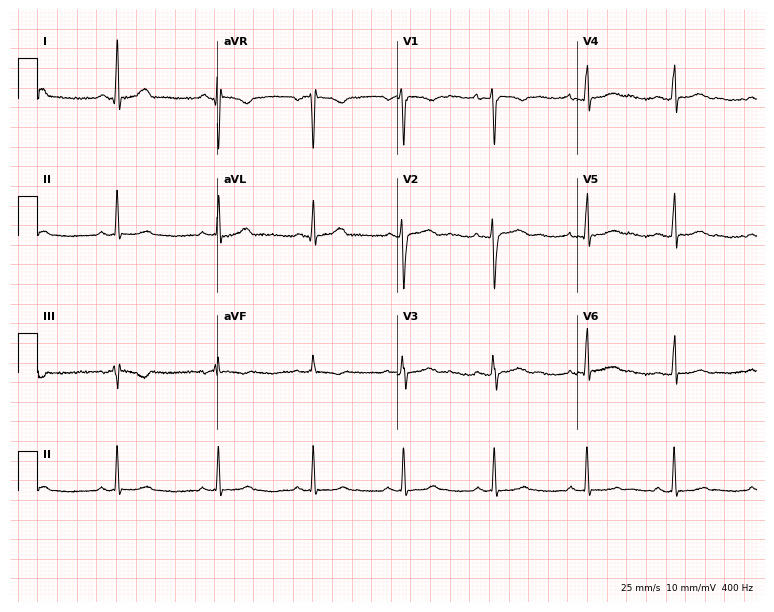
Standard 12-lead ECG recorded from a 20-year-old female. Read as a normal ECG.